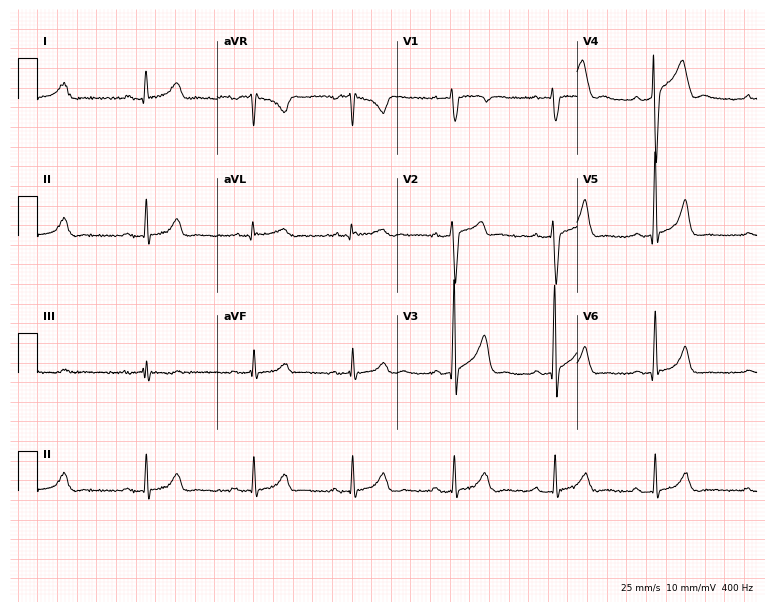
12-lead ECG (7.3-second recording at 400 Hz) from a 36-year-old male. Labelled as a normal ECG.